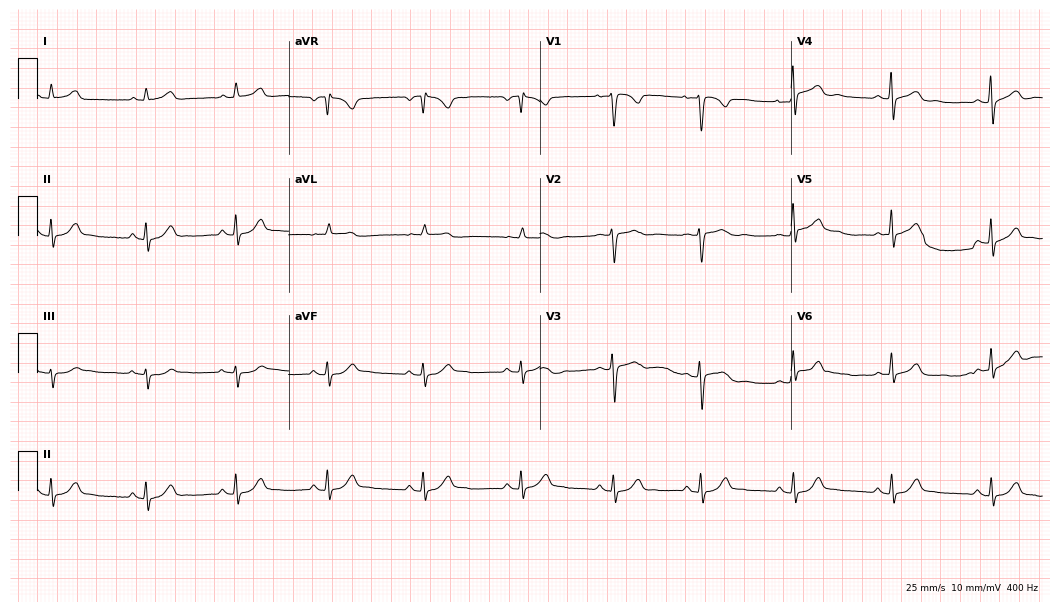
ECG (10.2-second recording at 400 Hz) — a 32-year-old woman. Labelled as a normal ECG.